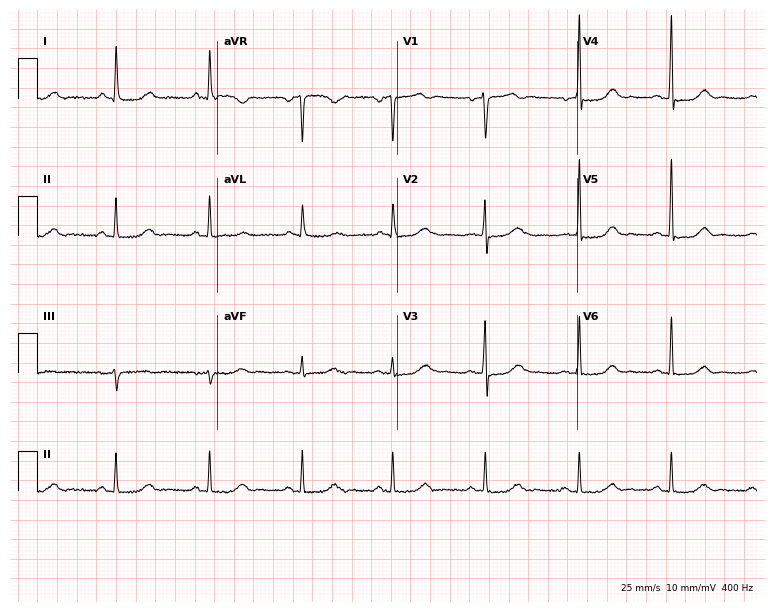
Electrocardiogram (7.3-second recording at 400 Hz), a woman, 65 years old. Overall reading on record: normal ECG.